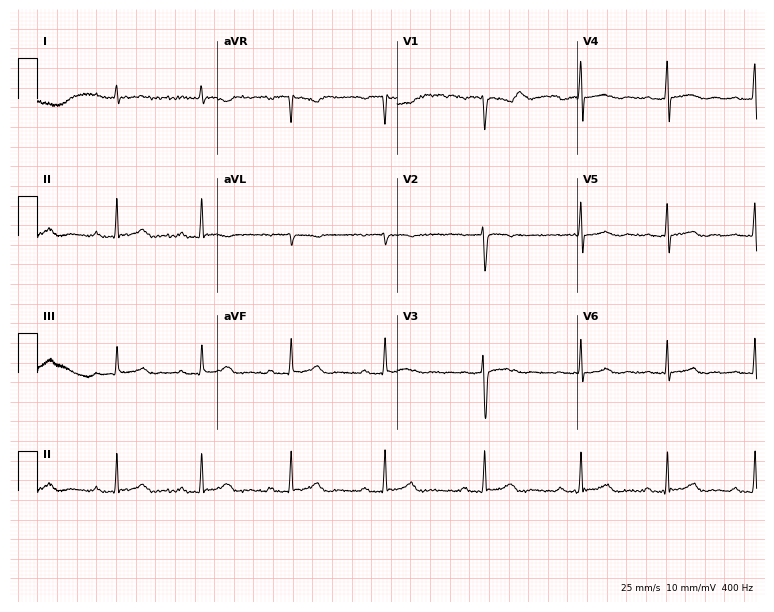
Resting 12-lead electrocardiogram (7.3-second recording at 400 Hz). Patient: a woman, 35 years old. None of these six findings is recorded: first-degree AV block, right bundle branch block, left bundle branch block, sinus bradycardia, atrial fibrillation, sinus tachycardia.